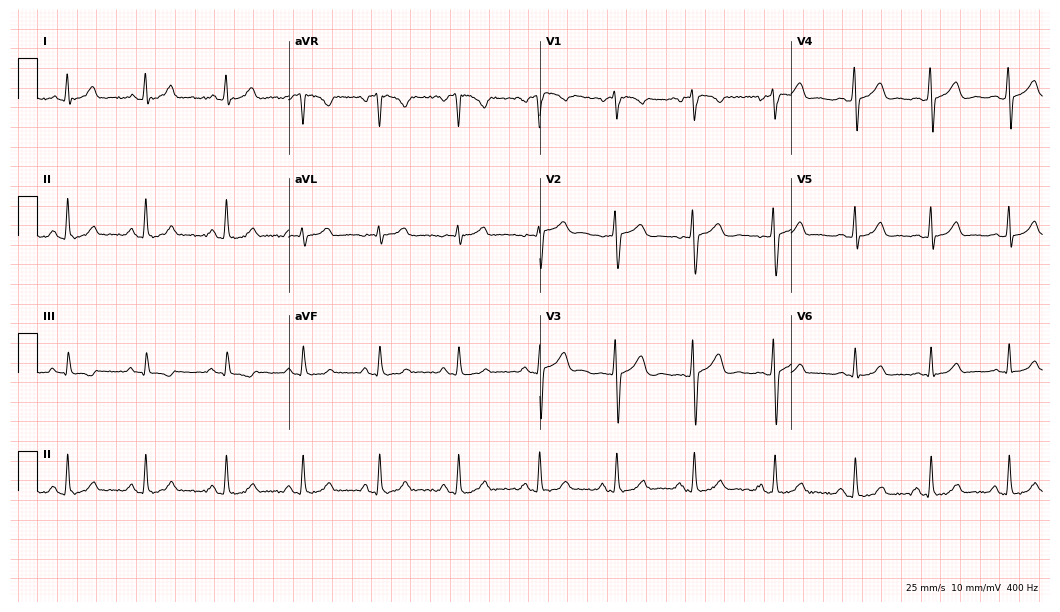
Electrocardiogram, a 19-year-old female patient. Overall reading on record: normal ECG.